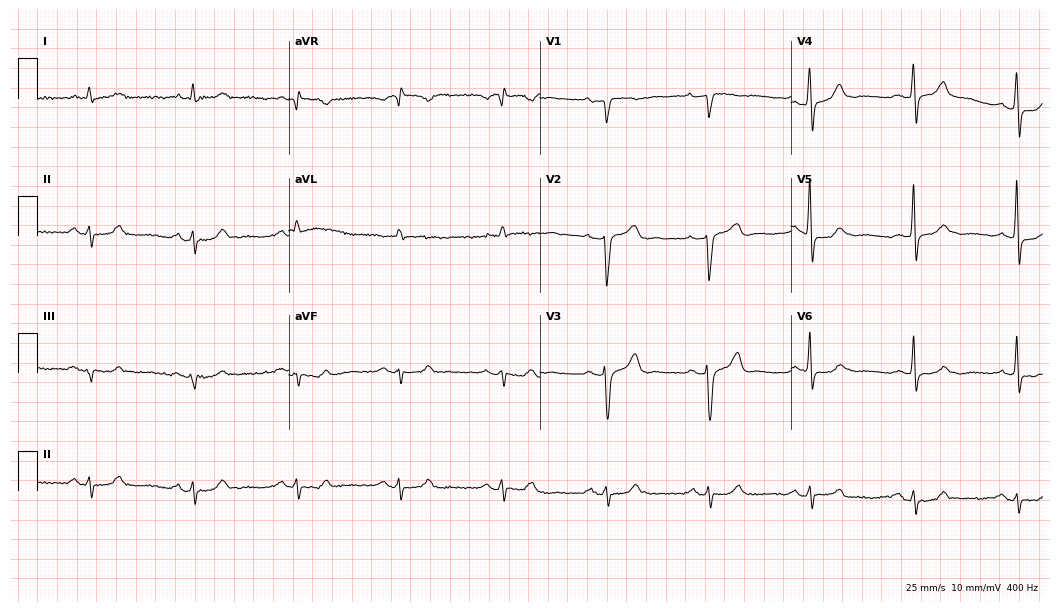
Electrocardiogram (10.2-second recording at 400 Hz), a man, 66 years old. Of the six screened findings (first-degree AV block, right bundle branch block, left bundle branch block, sinus bradycardia, atrial fibrillation, sinus tachycardia), none is recorded.